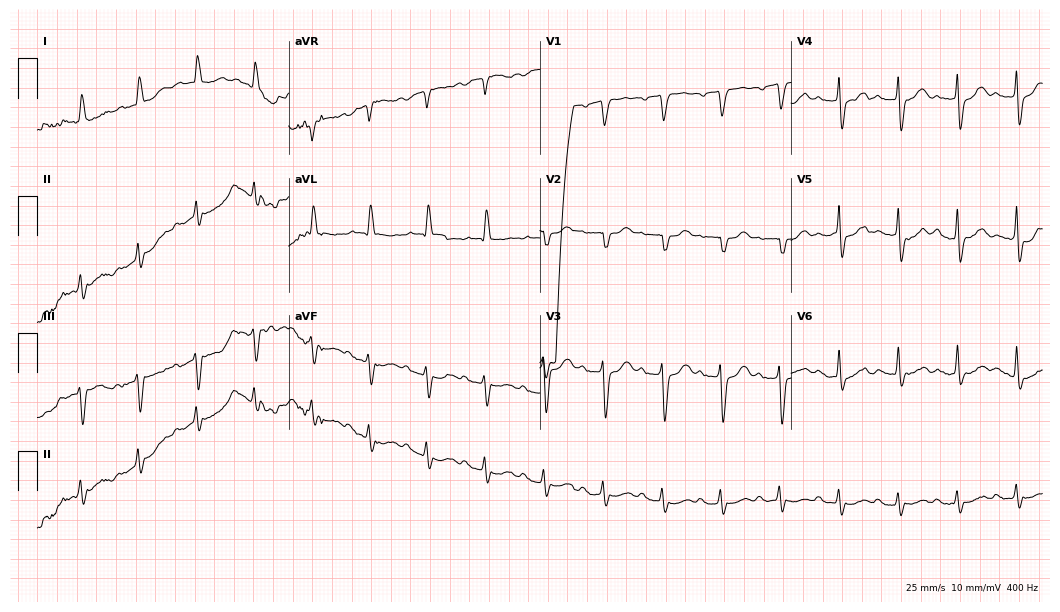
12-lead ECG (10.2-second recording at 400 Hz) from a 78-year-old male. Screened for six findings — first-degree AV block, right bundle branch block, left bundle branch block, sinus bradycardia, atrial fibrillation, sinus tachycardia — none is recorded.